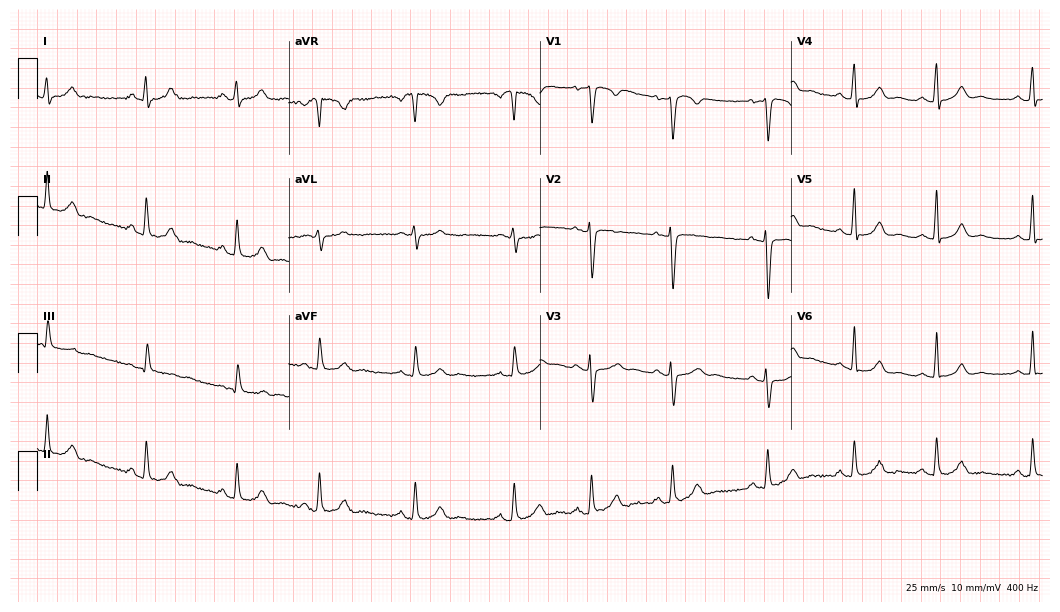
12-lead ECG (10.2-second recording at 400 Hz) from a 28-year-old female. Labelled as a normal ECG.